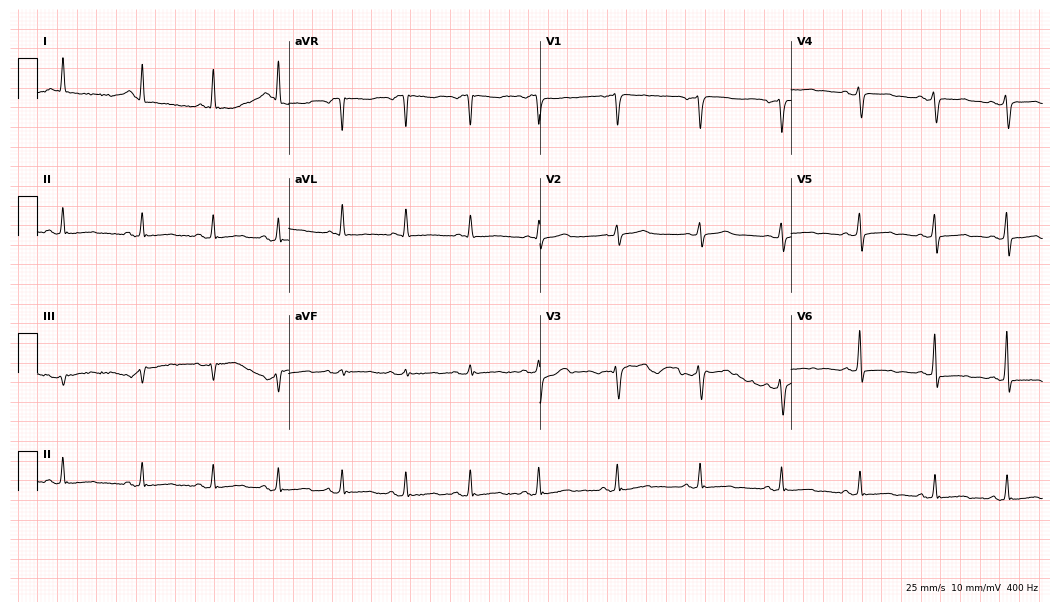
12-lead ECG from a 58-year-old female patient. Screened for six findings — first-degree AV block, right bundle branch block (RBBB), left bundle branch block (LBBB), sinus bradycardia, atrial fibrillation (AF), sinus tachycardia — none is recorded.